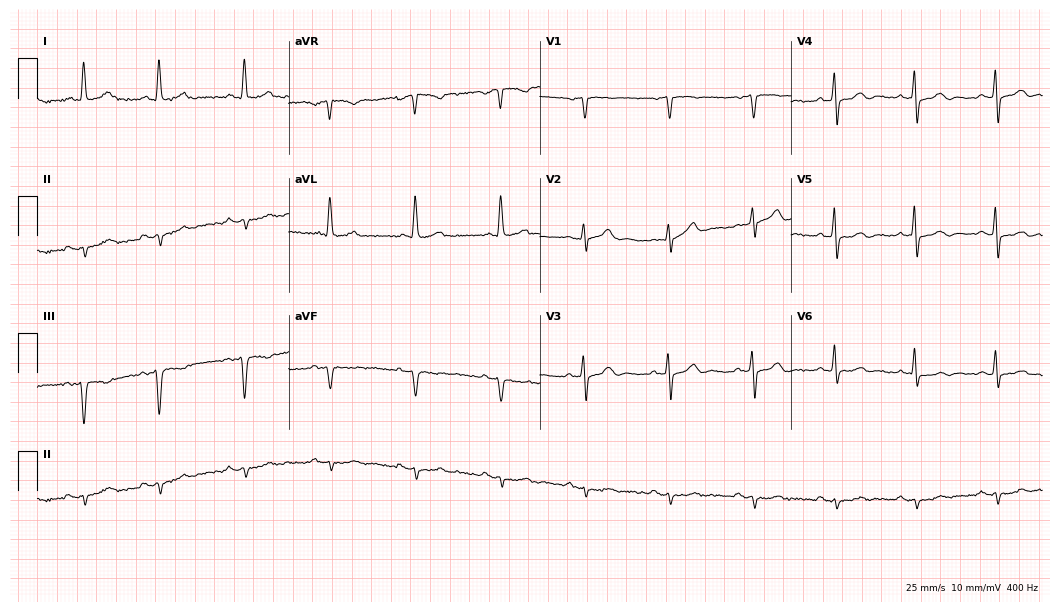
ECG — a 69-year-old male. Screened for six findings — first-degree AV block, right bundle branch block (RBBB), left bundle branch block (LBBB), sinus bradycardia, atrial fibrillation (AF), sinus tachycardia — none is recorded.